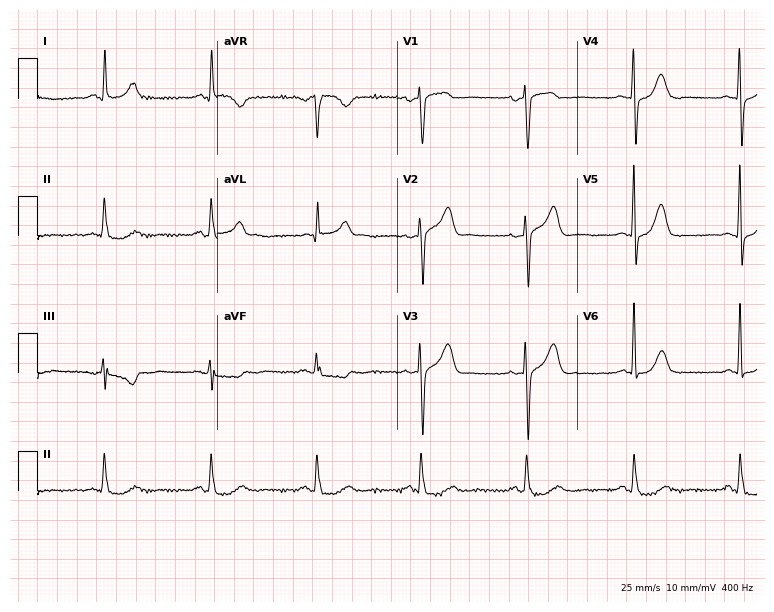
Electrocardiogram, a woman, 68 years old. Of the six screened findings (first-degree AV block, right bundle branch block (RBBB), left bundle branch block (LBBB), sinus bradycardia, atrial fibrillation (AF), sinus tachycardia), none is recorded.